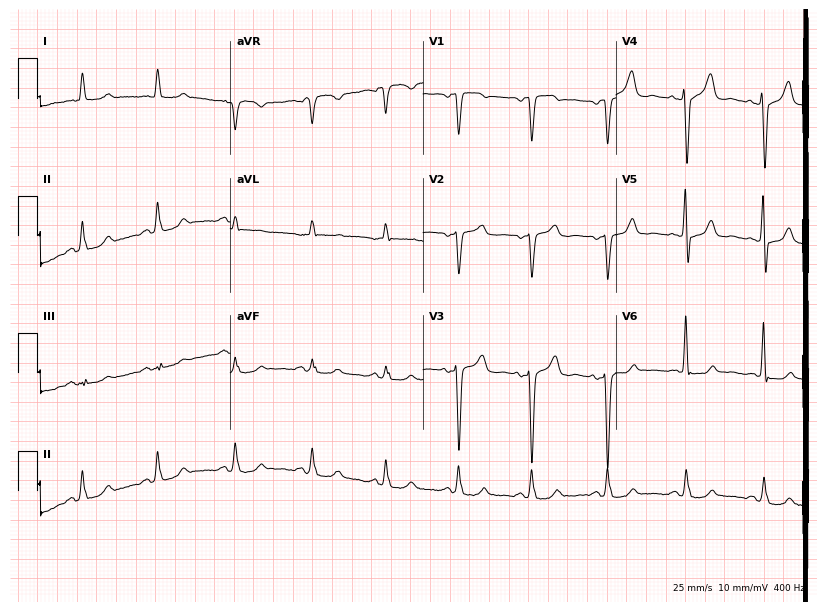
12-lead ECG (7.9-second recording at 400 Hz) from an 80-year-old female. Screened for six findings — first-degree AV block, right bundle branch block, left bundle branch block, sinus bradycardia, atrial fibrillation, sinus tachycardia — none is recorded. Only these six findings were labelled.